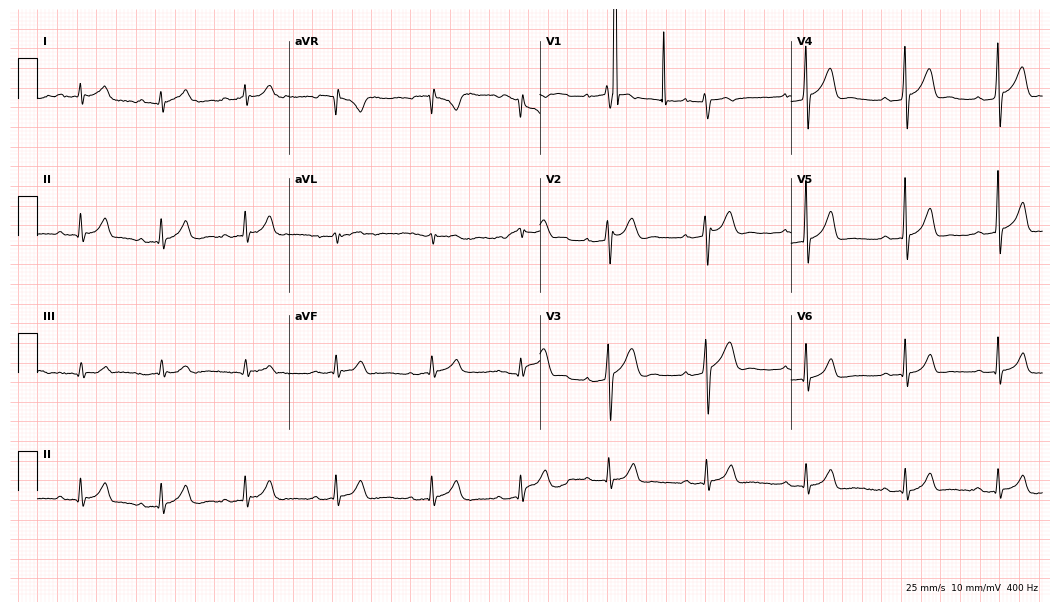
Electrocardiogram (10.2-second recording at 400 Hz), a 23-year-old male patient. Overall reading on record: normal ECG.